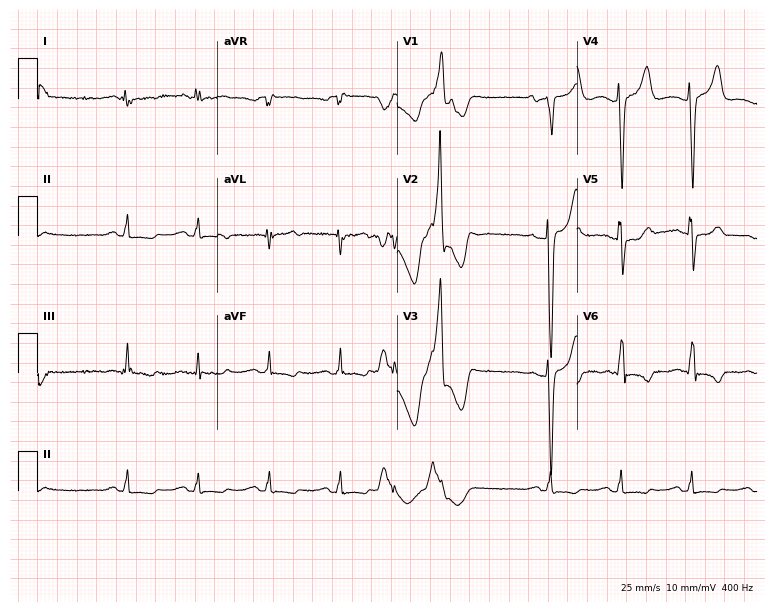
Electrocardiogram, a 73-year-old male. Of the six screened findings (first-degree AV block, right bundle branch block, left bundle branch block, sinus bradycardia, atrial fibrillation, sinus tachycardia), none is recorded. Findings outside these six are not listed.